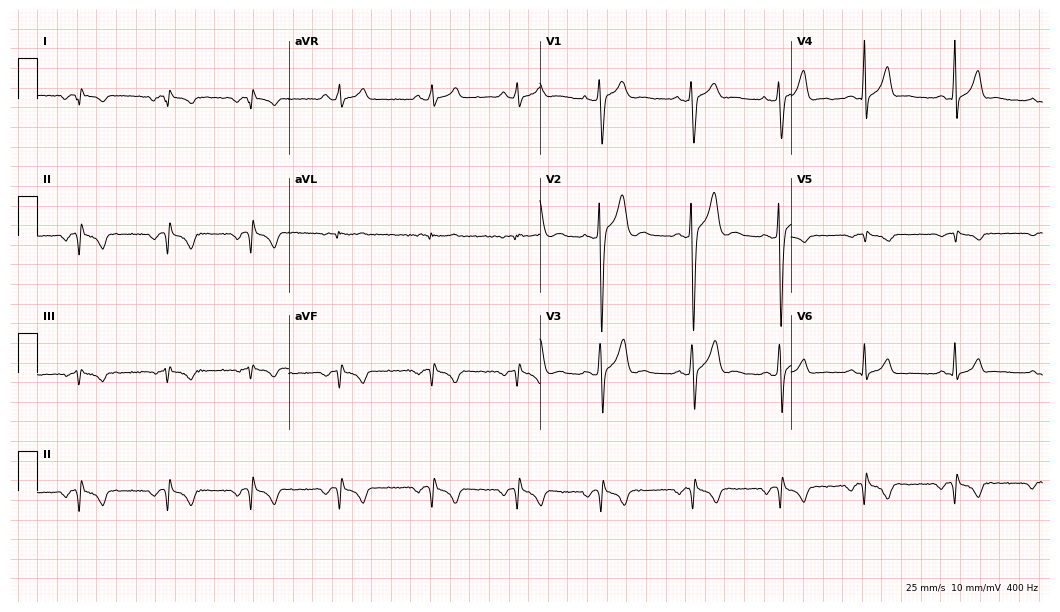
ECG (10.2-second recording at 400 Hz) — an 18-year-old male patient. Screened for six findings — first-degree AV block, right bundle branch block, left bundle branch block, sinus bradycardia, atrial fibrillation, sinus tachycardia — none is recorded. Findings outside these six are not listed.